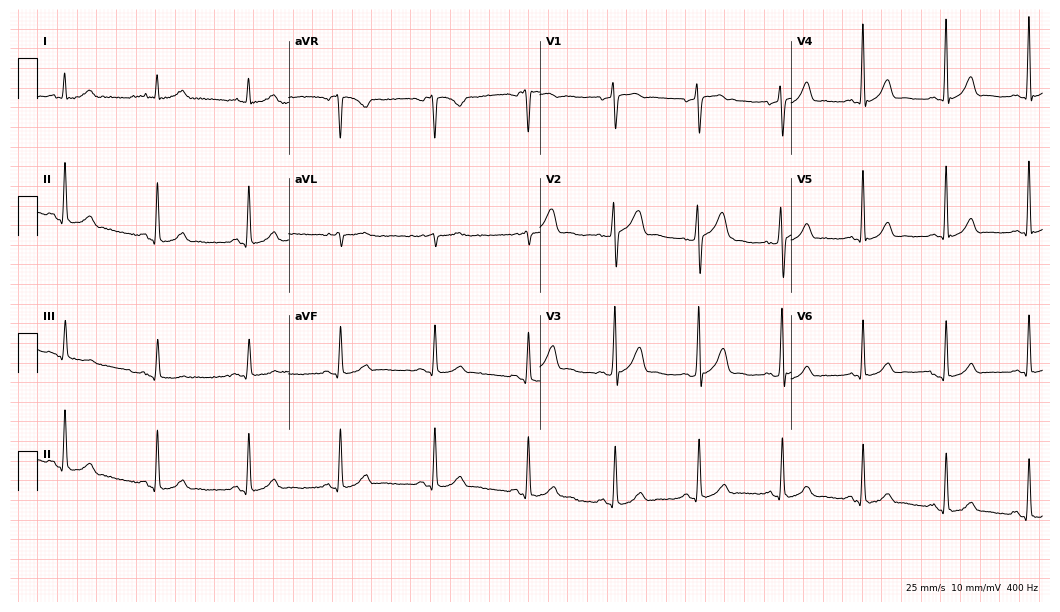
Resting 12-lead electrocardiogram (10.2-second recording at 400 Hz). Patient: a male, 41 years old. Read as a normal ECG.